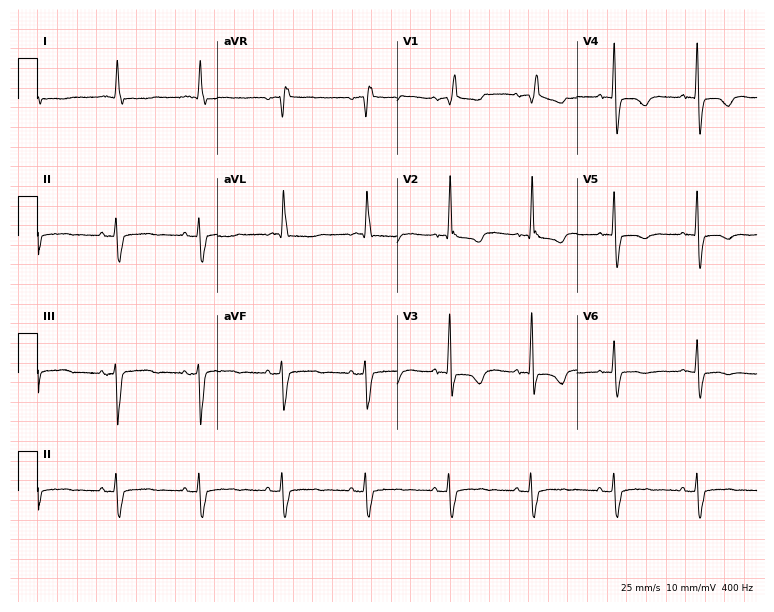
12-lead ECG from a woman, 81 years old (7.3-second recording at 400 Hz). Shows right bundle branch block.